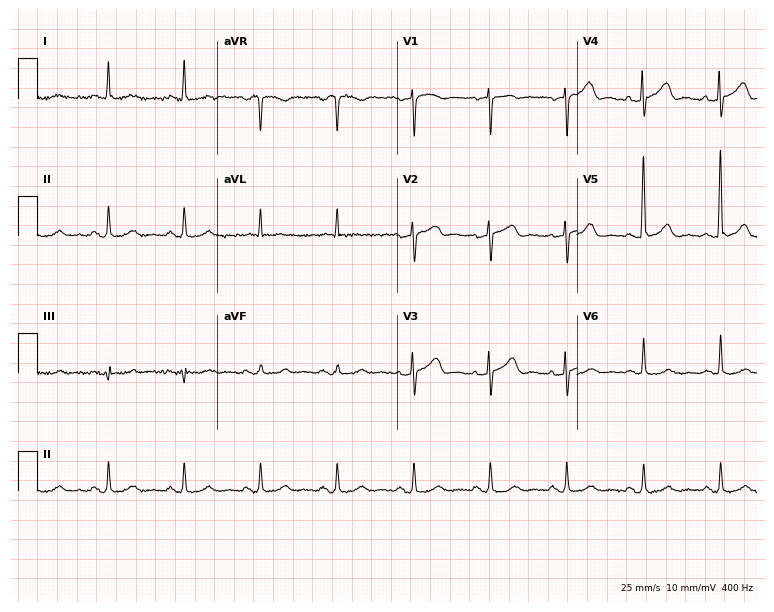
12-lead ECG from an 85-year-old male. Labelled as a normal ECG.